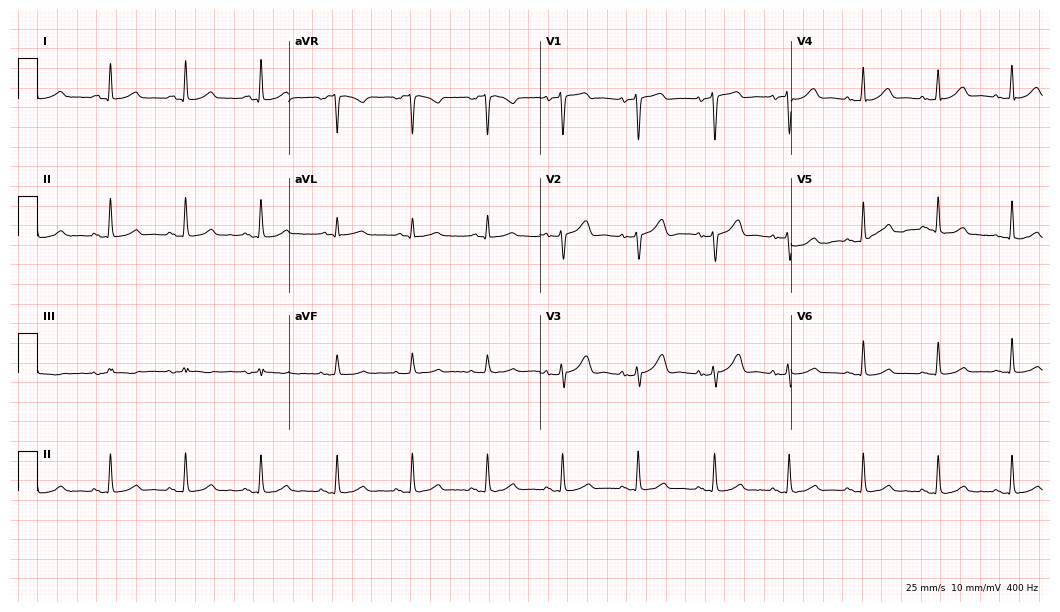
12-lead ECG (10.2-second recording at 400 Hz) from a 51-year-old female. Labelled as a normal ECG.